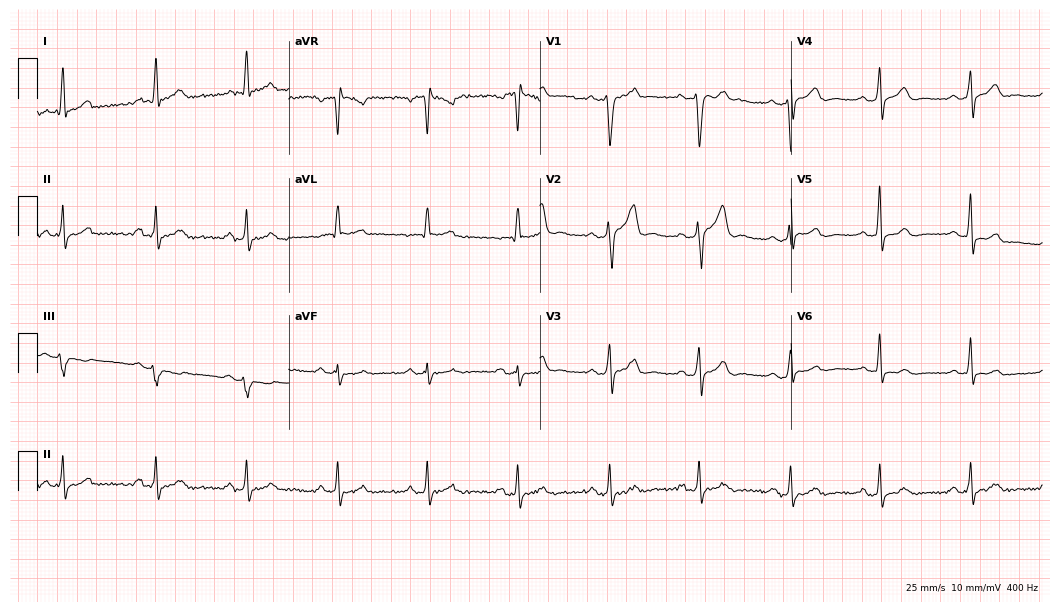
12-lead ECG from a woman, 85 years old (10.2-second recording at 400 Hz). No first-degree AV block, right bundle branch block, left bundle branch block, sinus bradycardia, atrial fibrillation or sinus tachycardia recorded for this tracing.